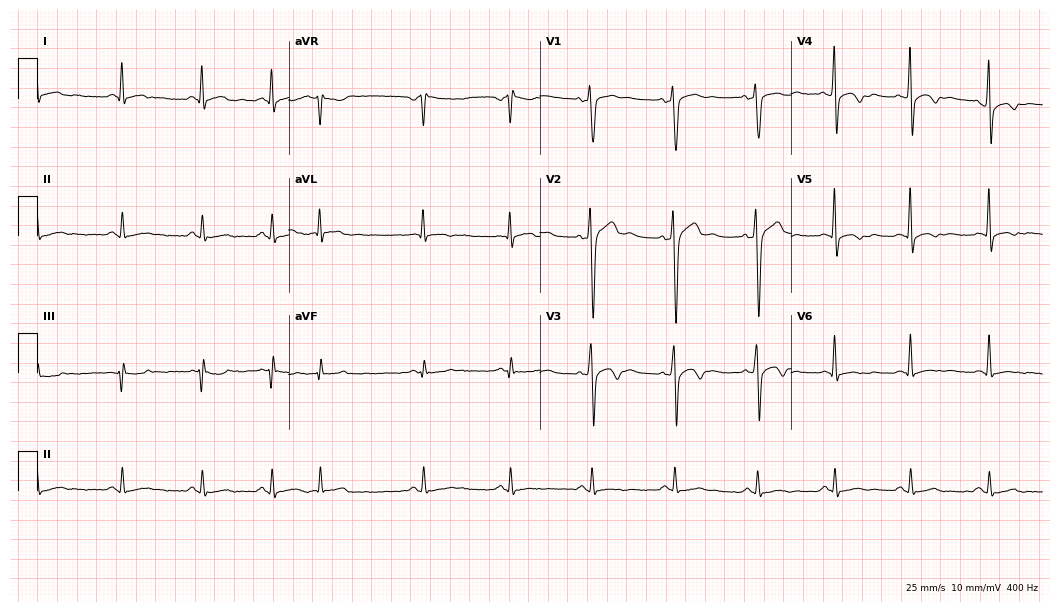
12-lead ECG (10.2-second recording at 400 Hz) from a 36-year-old man. Screened for six findings — first-degree AV block, right bundle branch block (RBBB), left bundle branch block (LBBB), sinus bradycardia, atrial fibrillation (AF), sinus tachycardia — none is recorded. Other findings, if any, are not listed.